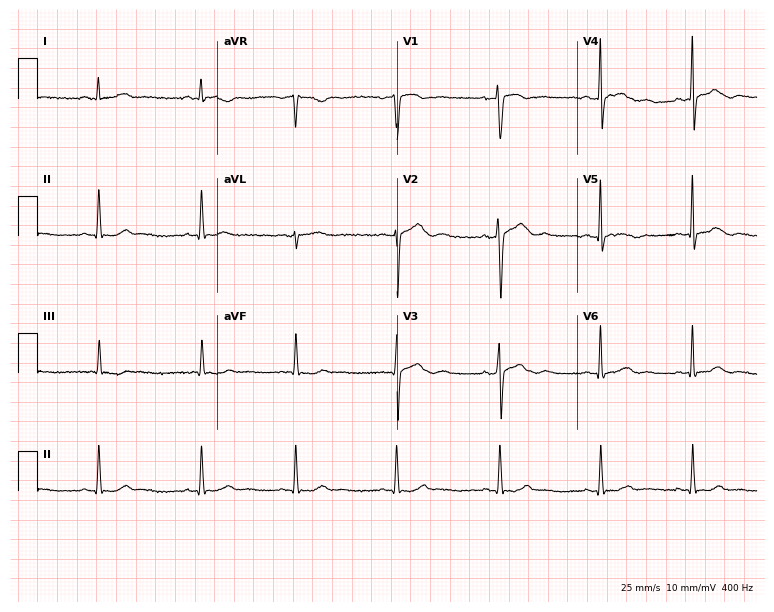
Electrocardiogram, a 36-year-old female patient. Overall reading on record: normal ECG.